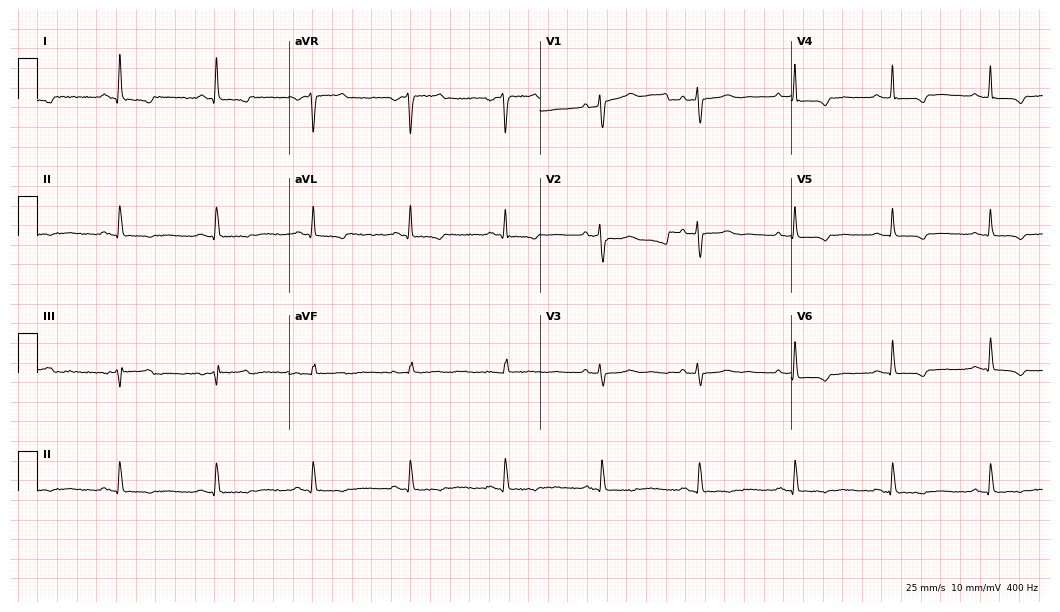
12-lead ECG from a woman, 60 years old (10.2-second recording at 400 Hz). No first-degree AV block, right bundle branch block, left bundle branch block, sinus bradycardia, atrial fibrillation or sinus tachycardia recorded for this tracing. Only these six findings were labelled.